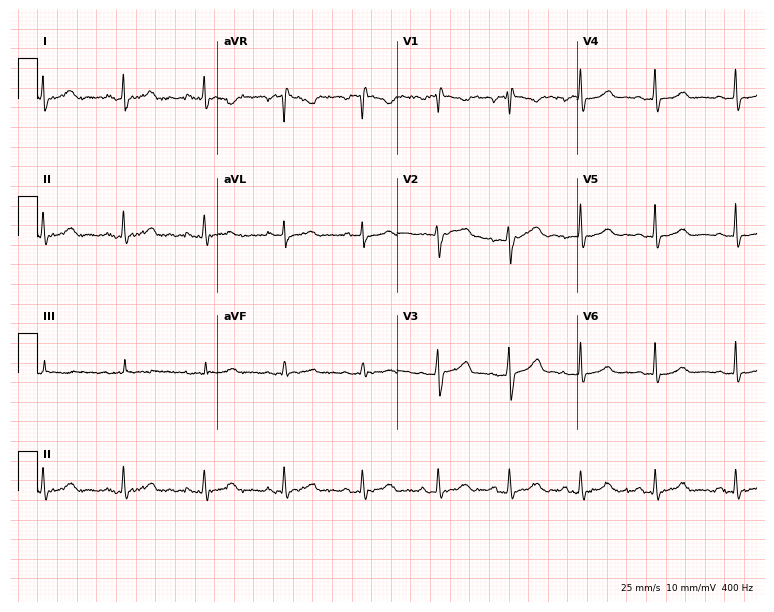
ECG — a 48-year-old female. Screened for six findings — first-degree AV block, right bundle branch block, left bundle branch block, sinus bradycardia, atrial fibrillation, sinus tachycardia — none is recorded. Only these six findings were labelled.